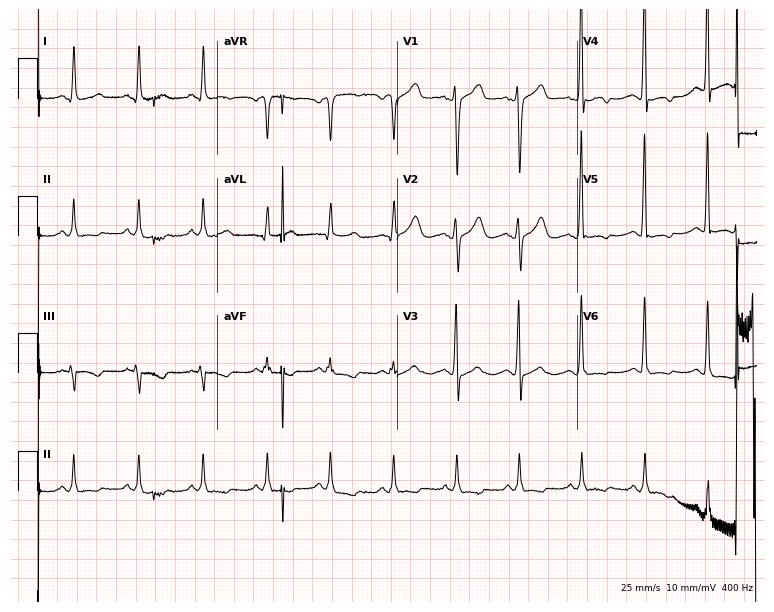
ECG (7.3-second recording at 400 Hz) — a 54-year-old female patient. Screened for six findings — first-degree AV block, right bundle branch block (RBBB), left bundle branch block (LBBB), sinus bradycardia, atrial fibrillation (AF), sinus tachycardia — none is recorded. Findings outside these six are not listed.